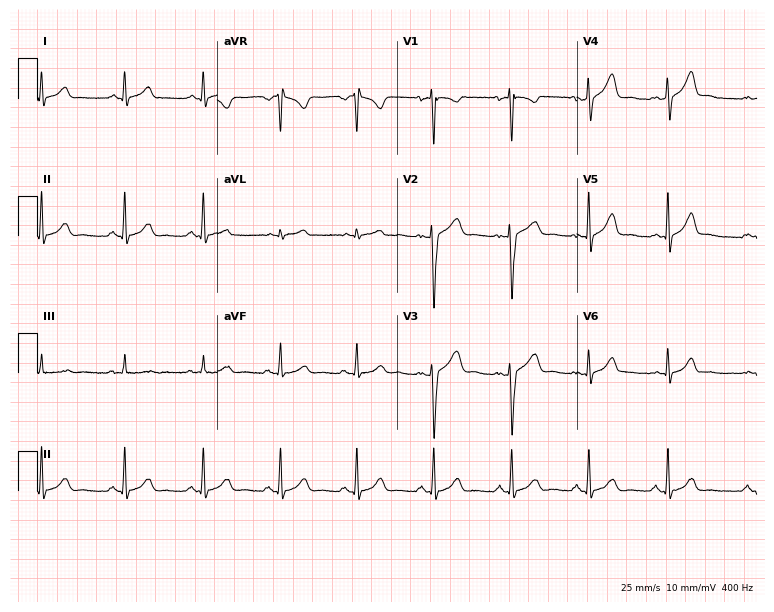
12-lead ECG (7.3-second recording at 400 Hz) from a woman, 25 years old. Labelled as a normal ECG.